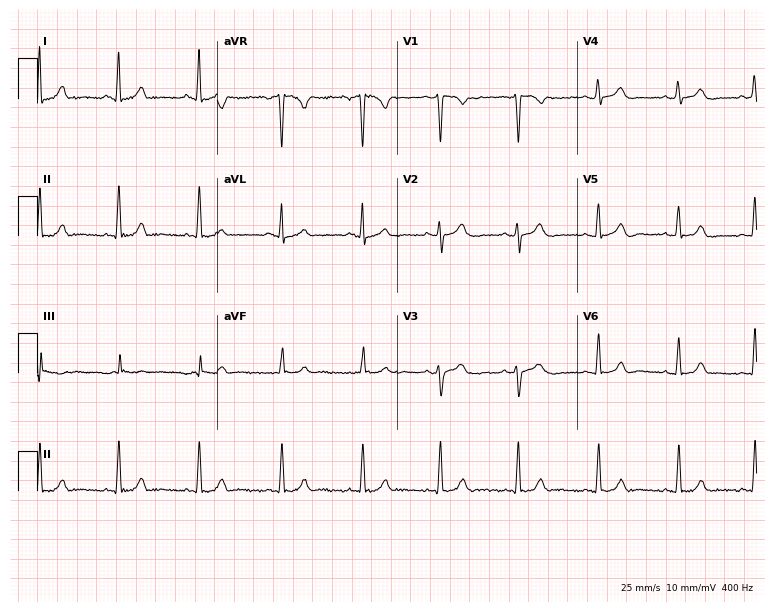
Resting 12-lead electrocardiogram. Patient: a female, 25 years old. Read as a normal ECG.